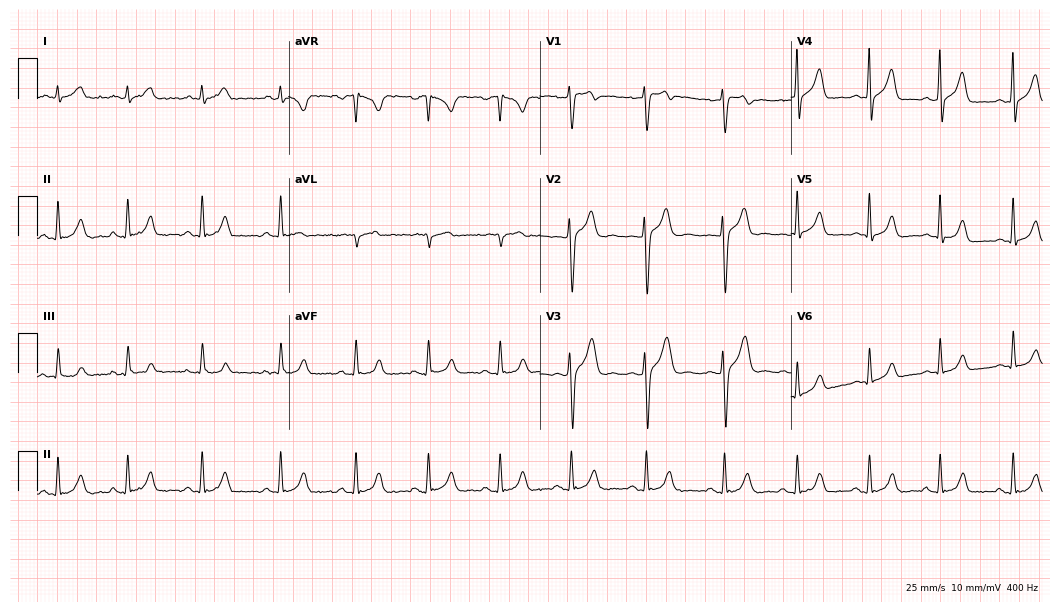
12-lead ECG from a 24-year-old male patient. Recorded interpretation: within normal limits.